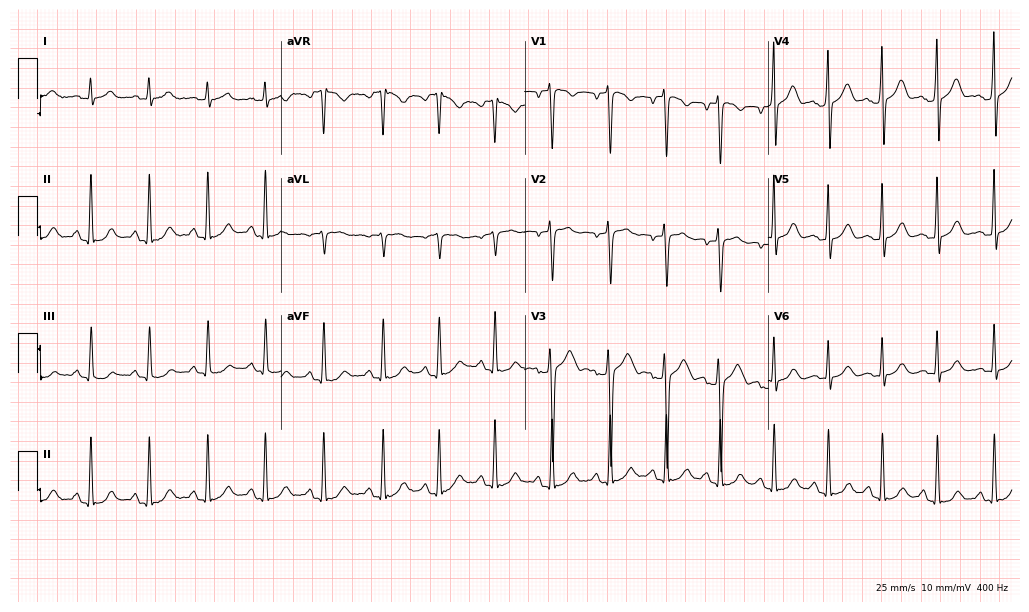
12-lead ECG (9.9-second recording at 400 Hz) from an 18-year-old male. Findings include sinus tachycardia (a sinus rate of 100 beats per minute or more).